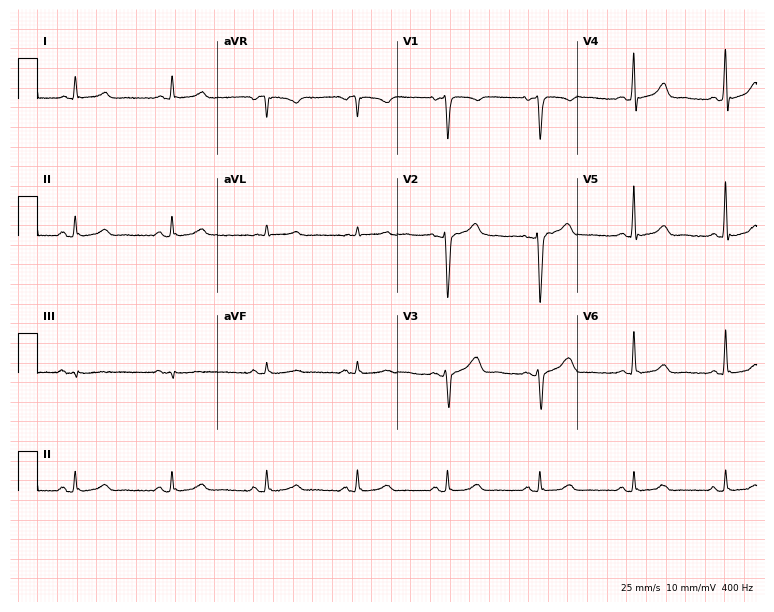
12-lead ECG from a man, 38 years old. Recorded interpretation: within normal limits.